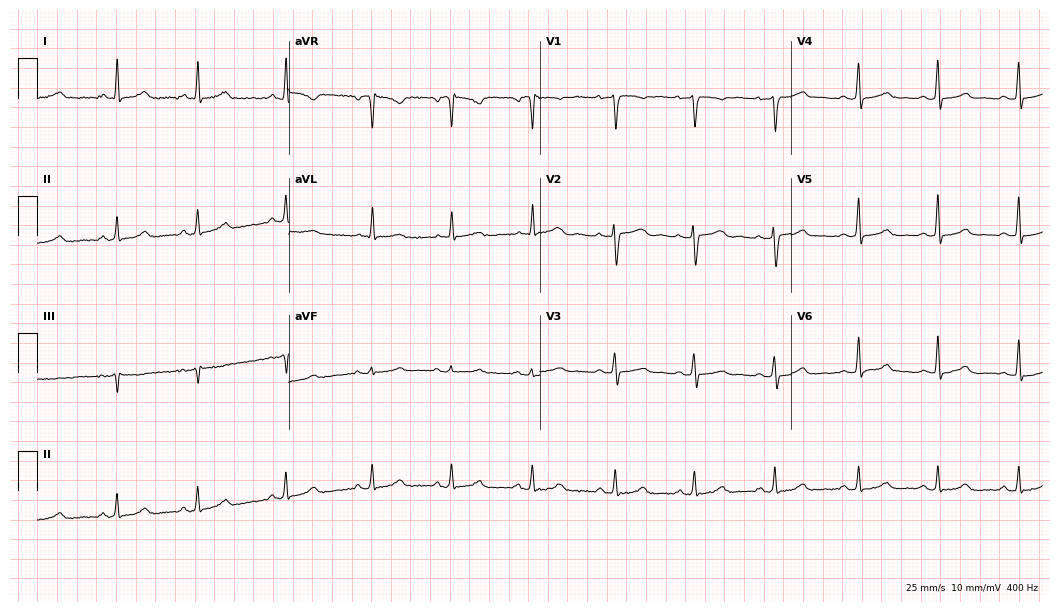
Standard 12-lead ECG recorded from a female patient, 46 years old. Read as a normal ECG.